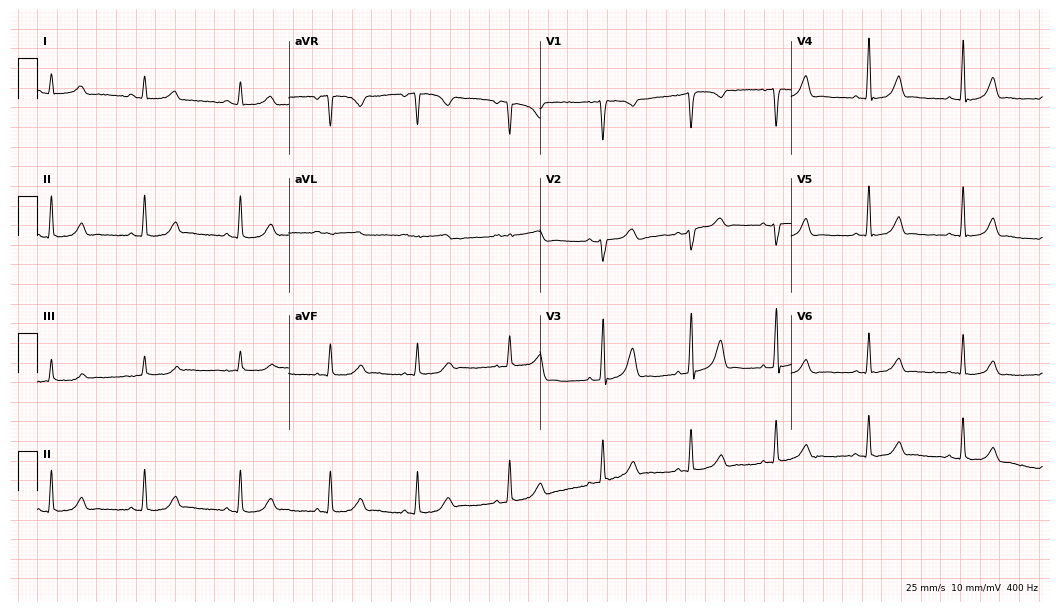
12-lead ECG from a woman, 30 years old (10.2-second recording at 400 Hz). No first-degree AV block, right bundle branch block, left bundle branch block, sinus bradycardia, atrial fibrillation or sinus tachycardia recorded for this tracing. Only these six findings were labelled.